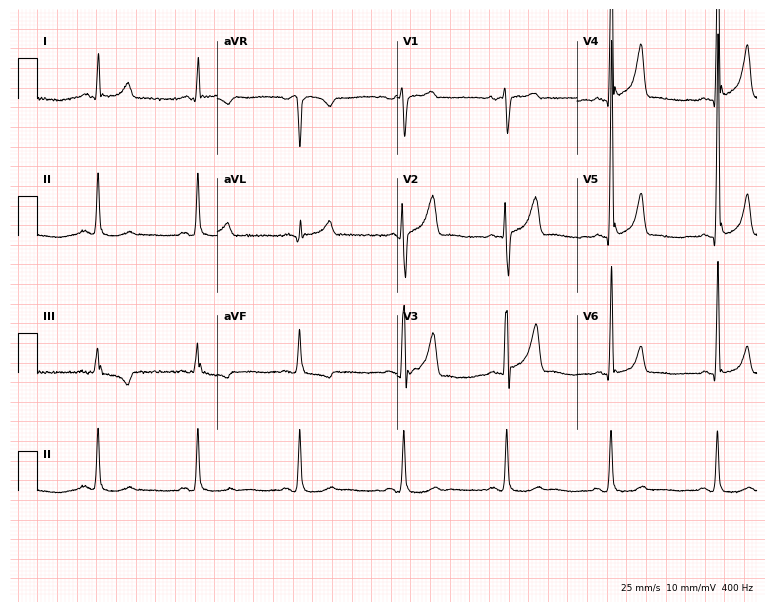
Standard 12-lead ECG recorded from a man, 44 years old. None of these six findings is recorded: first-degree AV block, right bundle branch block, left bundle branch block, sinus bradycardia, atrial fibrillation, sinus tachycardia. Other findings, if any, are not listed.